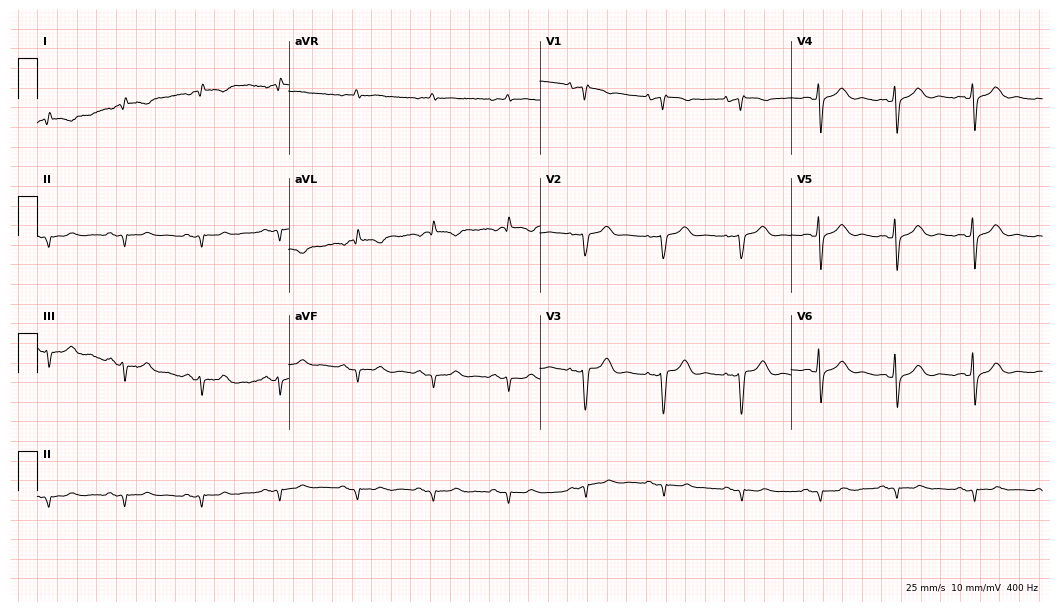
Standard 12-lead ECG recorded from a 67-year-old woman (10.2-second recording at 400 Hz). None of these six findings is recorded: first-degree AV block, right bundle branch block, left bundle branch block, sinus bradycardia, atrial fibrillation, sinus tachycardia.